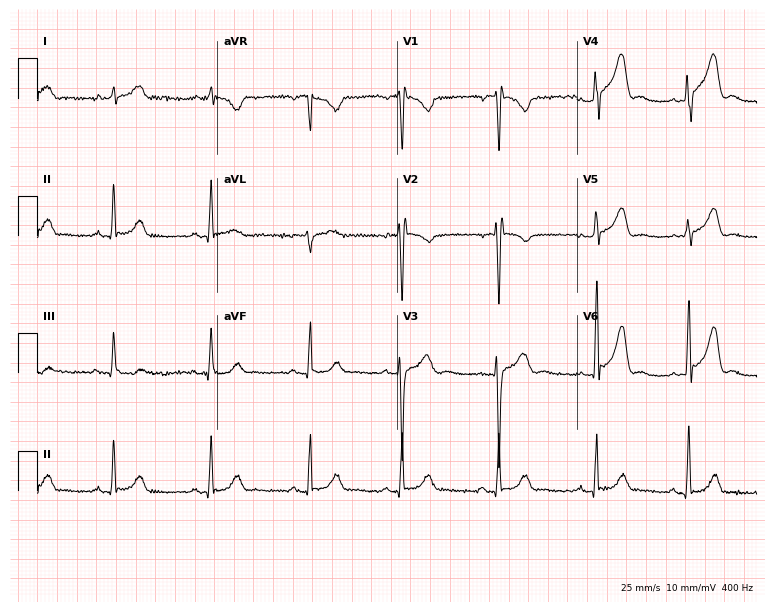
Electrocardiogram, a 22-year-old man. Of the six screened findings (first-degree AV block, right bundle branch block, left bundle branch block, sinus bradycardia, atrial fibrillation, sinus tachycardia), none is recorded.